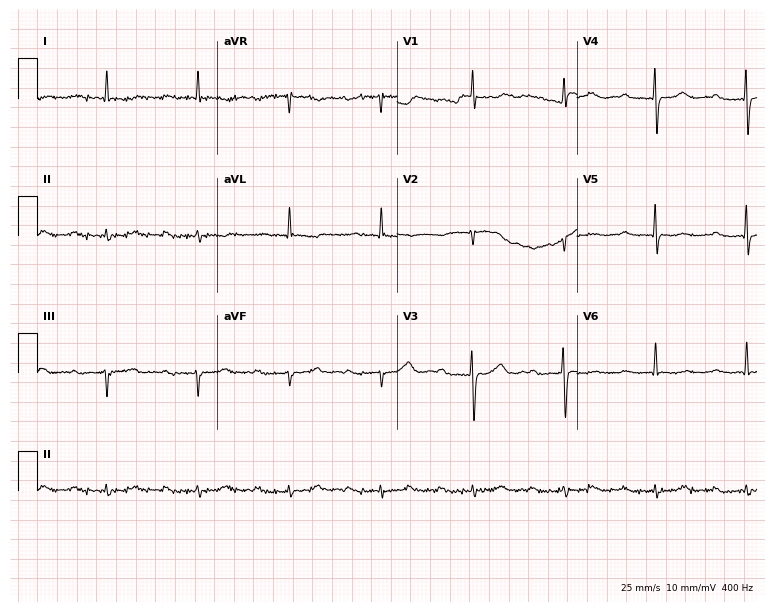
12-lead ECG from a male, 81 years old. Findings include first-degree AV block.